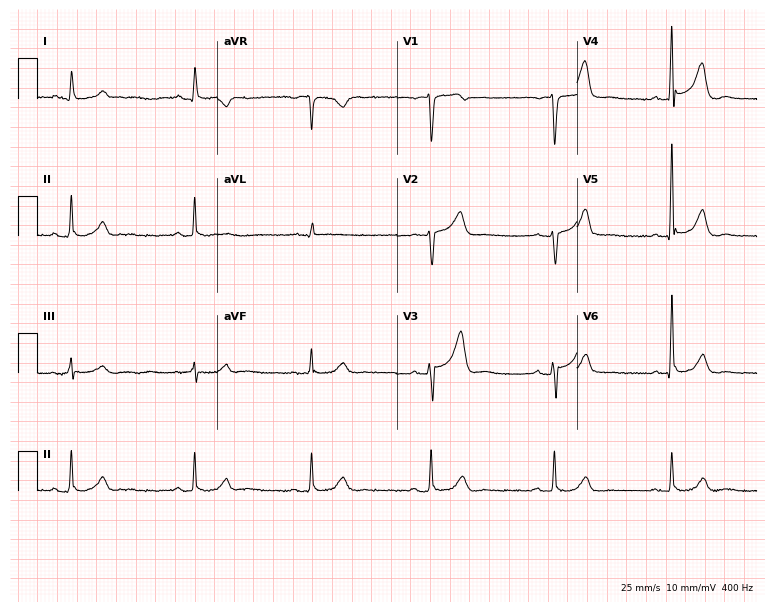
Electrocardiogram, a 72-year-old male. Interpretation includes sinus bradycardia (a sinus rate of 50 beats per minute or less).